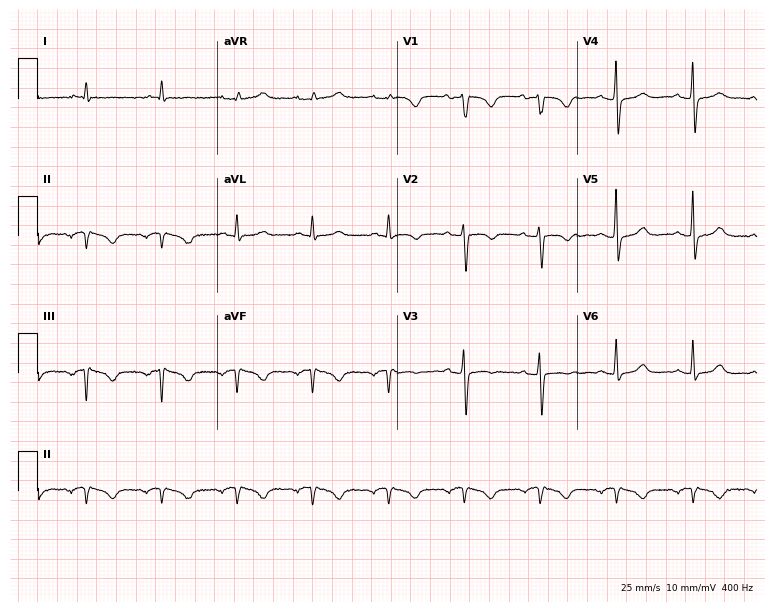
Standard 12-lead ECG recorded from a 73-year-old woman. None of these six findings is recorded: first-degree AV block, right bundle branch block, left bundle branch block, sinus bradycardia, atrial fibrillation, sinus tachycardia.